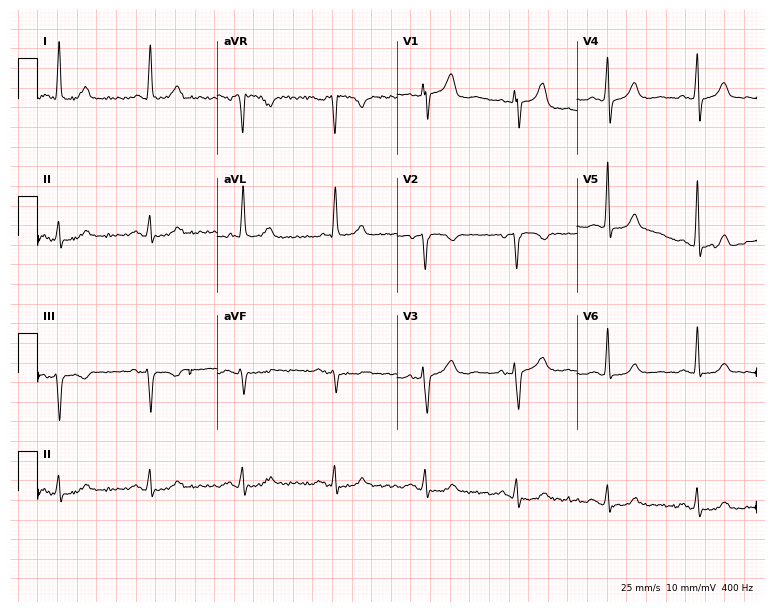
12-lead ECG from a female, 73 years old. Screened for six findings — first-degree AV block, right bundle branch block, left bundle branch block, sinus bradycardia, atrial fibrillation, sinus tachycardia — none is recorded.